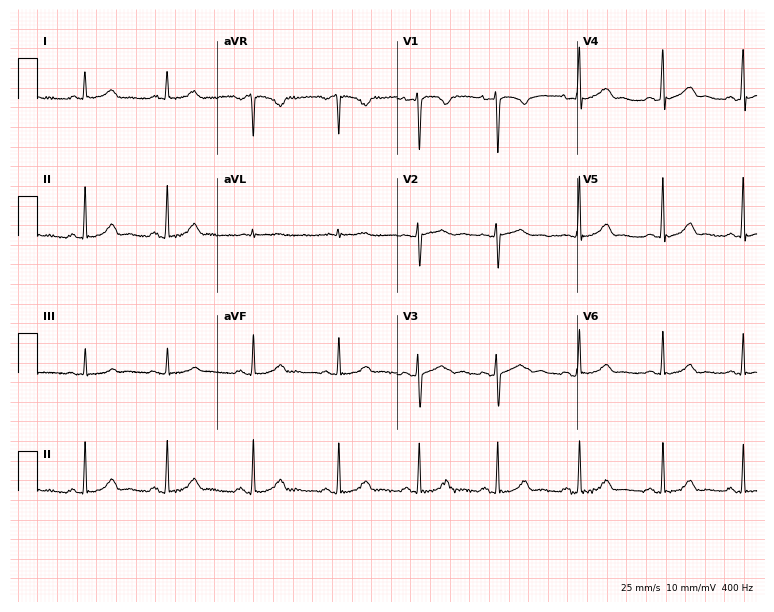
Standard 12-lead ECG recorded from a 38-year-old female patient (7.3-second recording at 400 Hz). Read as a normal ECG.